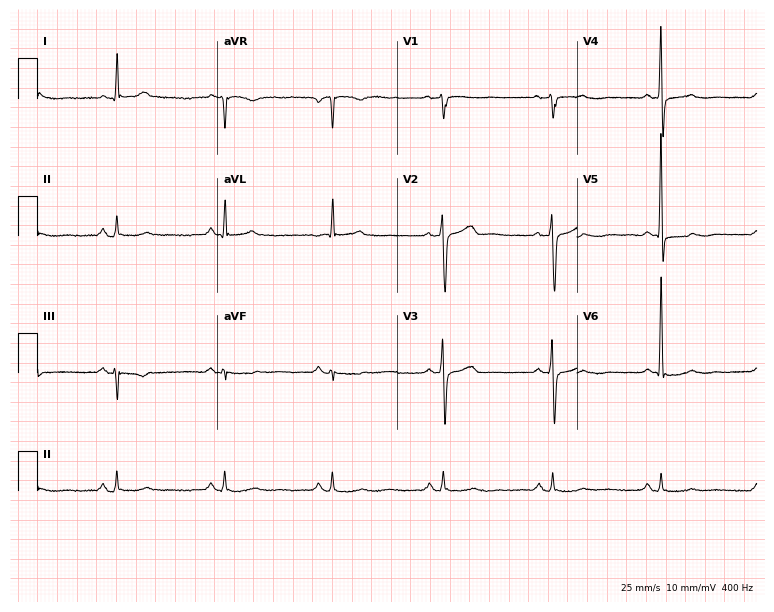
Resting 12-lead electrocardiogram (7.3-second recording at 400 Hz). Patient: a man, 70 years old. None of these six findings is recorded: first-degree AV block, right bundle branch block, left bundle branch block, sinus bradycardia, atrial fibrillation, sinus tachycardia.